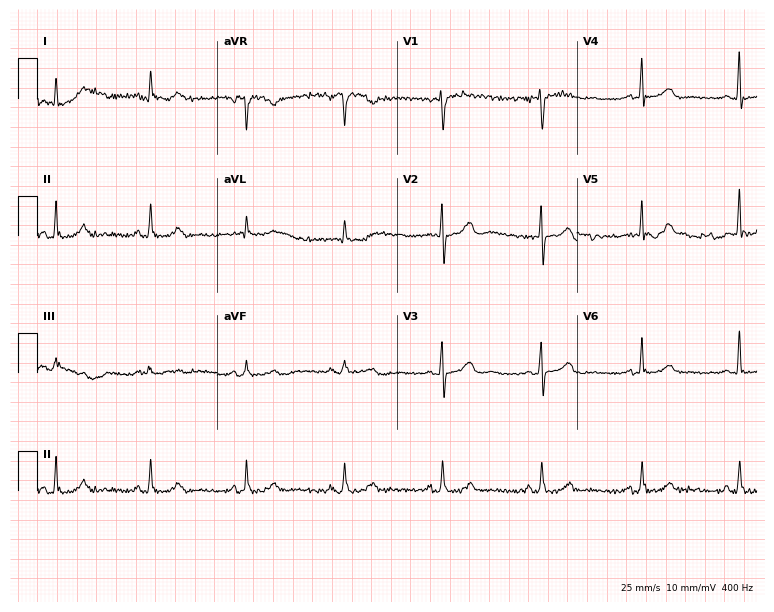
12-lead ECG (7.3-second recording at 400 Hz) from a 76-year-old female patient. Screened for six findings — first-degree AV block, right bundle branch block (RBBB), left bundle branch block (LBBB), sinus bradycardia, atrial fibrillation (AF), sinus tachycardia — none is recorded. Other findings, if any, are not listed.